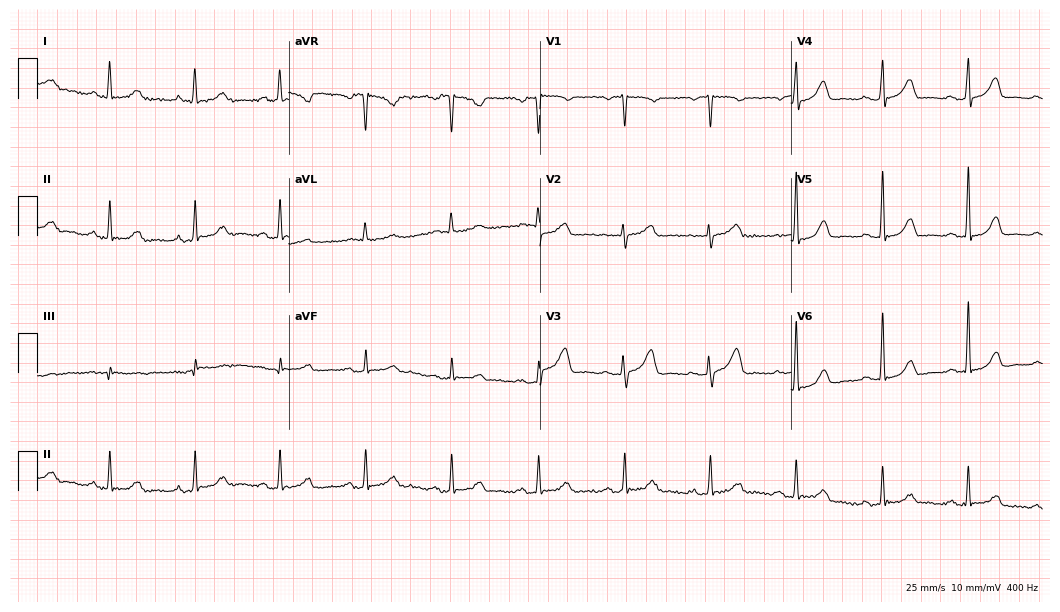
12-lead ECG from a female patient, 65 years old. Labelled as a normal ECG.